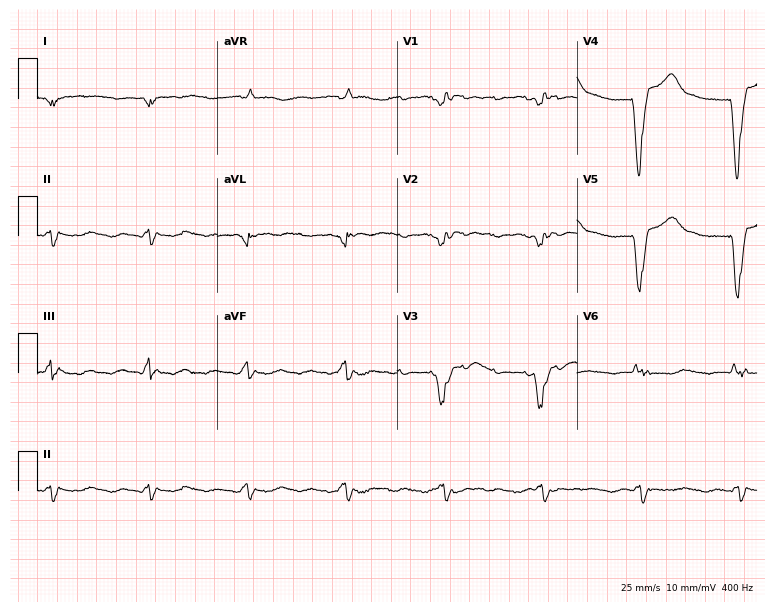
12-lead ECG from a woman, 47 years old. Screened for six findings — first-degree AV block, right bundle branch block, left bundle branch block, sinus bradycardia, atrial fibrillation, sinus tachycardia — none is recorded. Other findings, if any, are not listed.